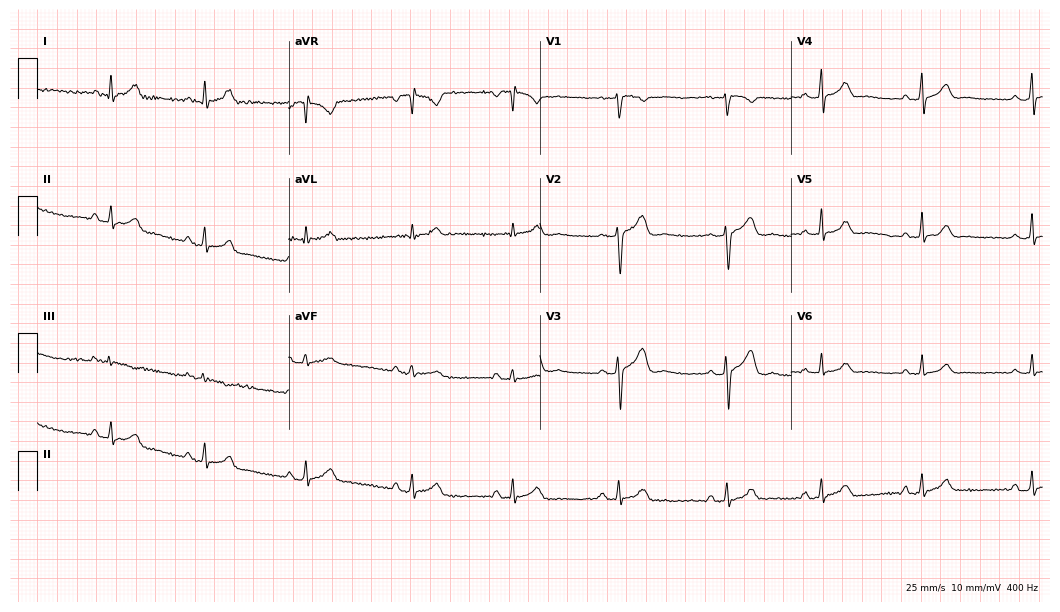
12-lead ECG from a female, 26 years old. Labelled as a normal ECG.